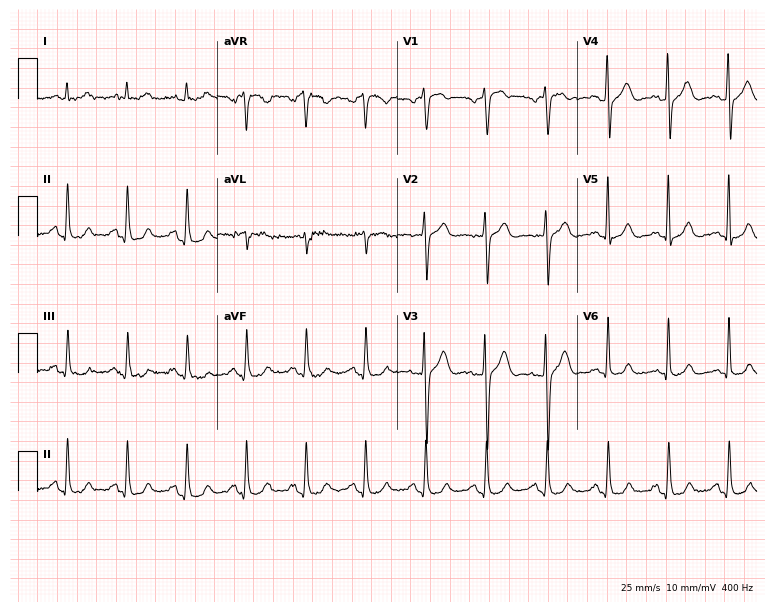
ECG (7.3-second recording at 400 Hz) — a 51-year-old man. Labelled as a normal ECG.